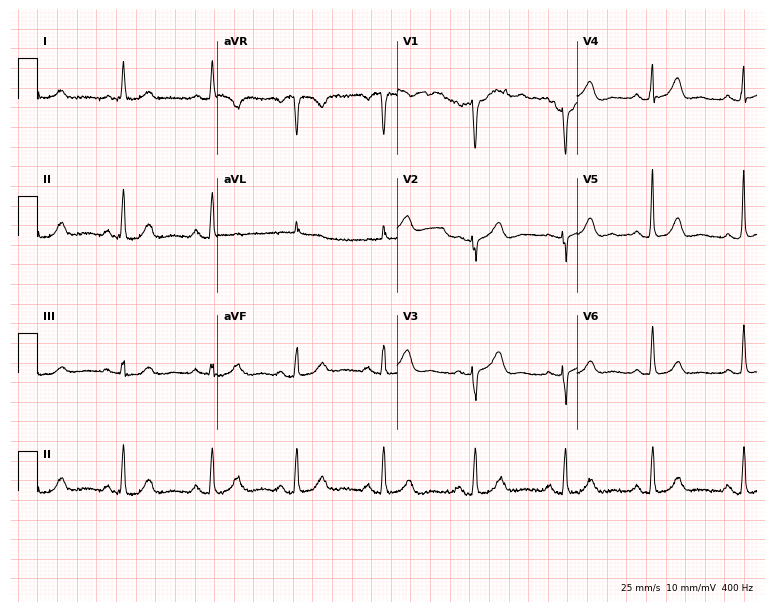
Electrocardiogram (7.3-second recording at 400 Hz), a female, 65 years old. Of the six screened findings (first-degree AV block, right bundle branch block, left bundle branch block, sinus bradycardia, atrial fibrillation, sinus tachycardia), none is recorded.